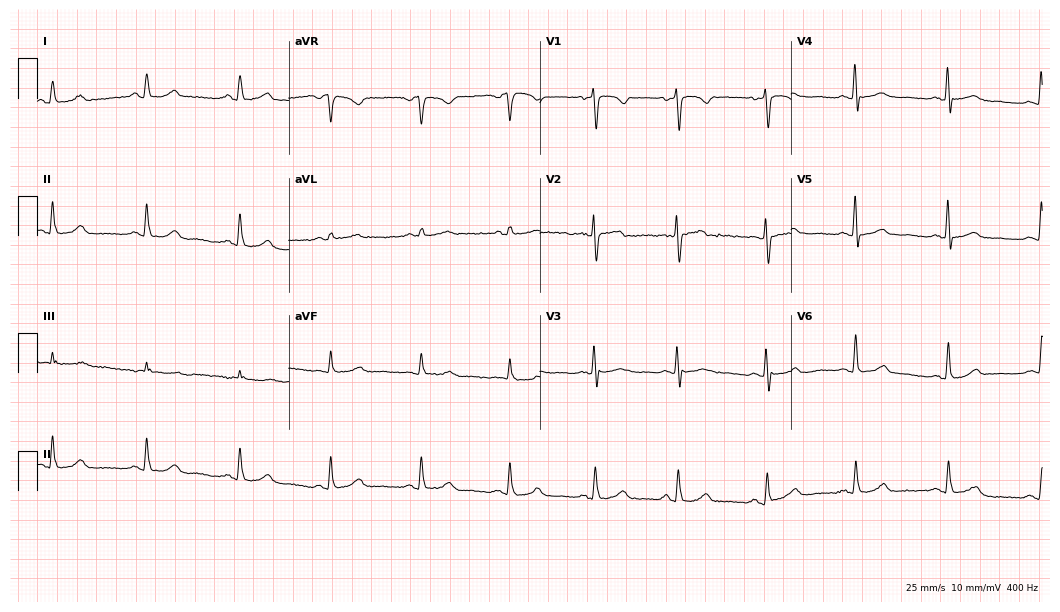
Electrocardiogram, a 57-year-old female patient. Overall reading on record: normal ECG.